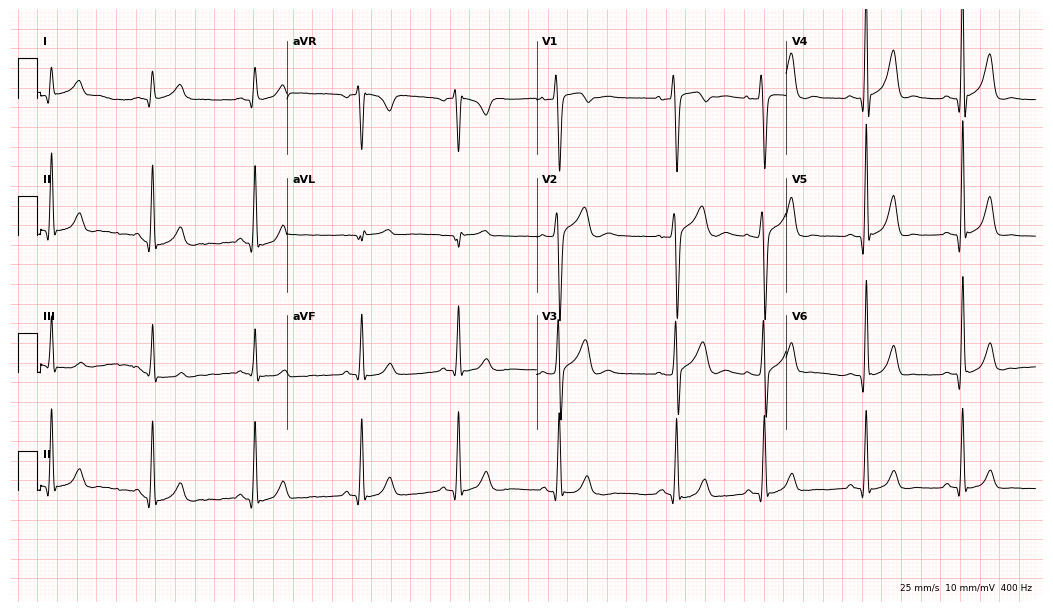
Resting 12-lead electrocardiogram (10.2-second recording at 400 Hz). Patient: a male, 25 years old. Read as a normal ECG.